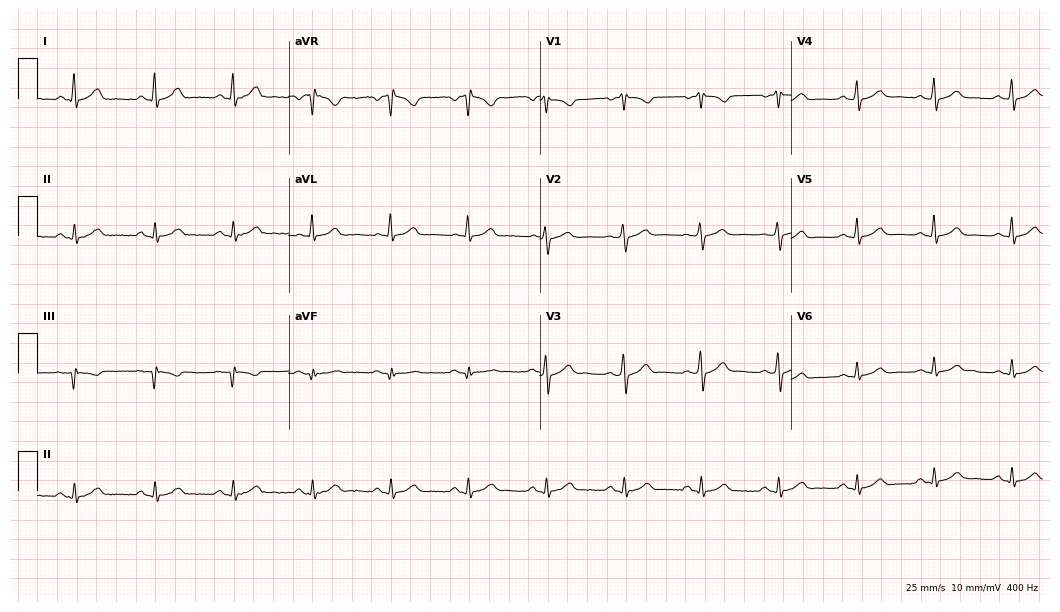
Standard 12-lead ECG recorded from a female patient, 58 years old. Read as a normal ECG.